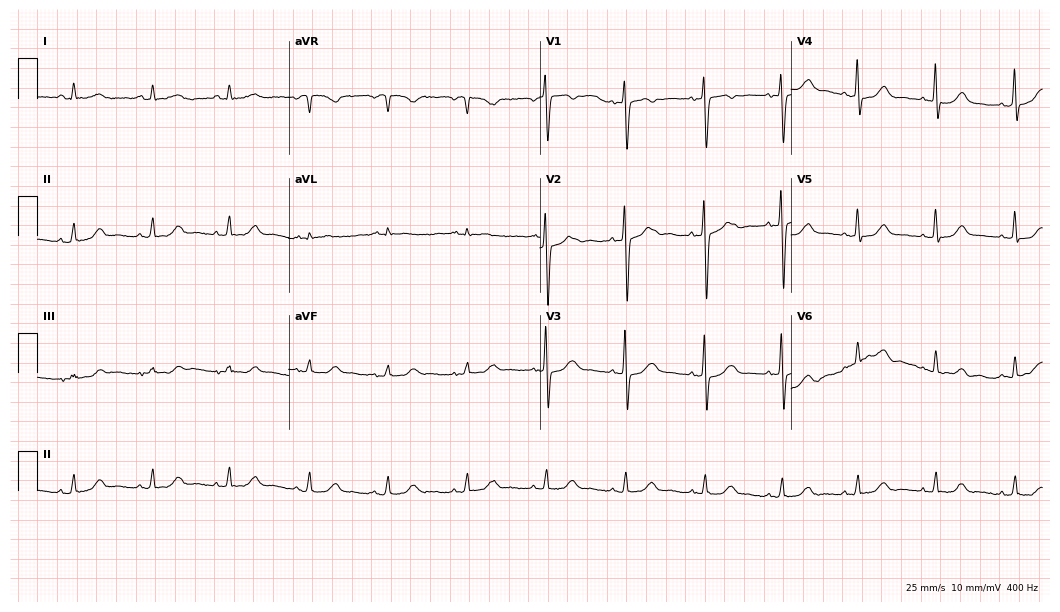
ECG — a female patient, 75 years old. Labelled as a normal ECG.